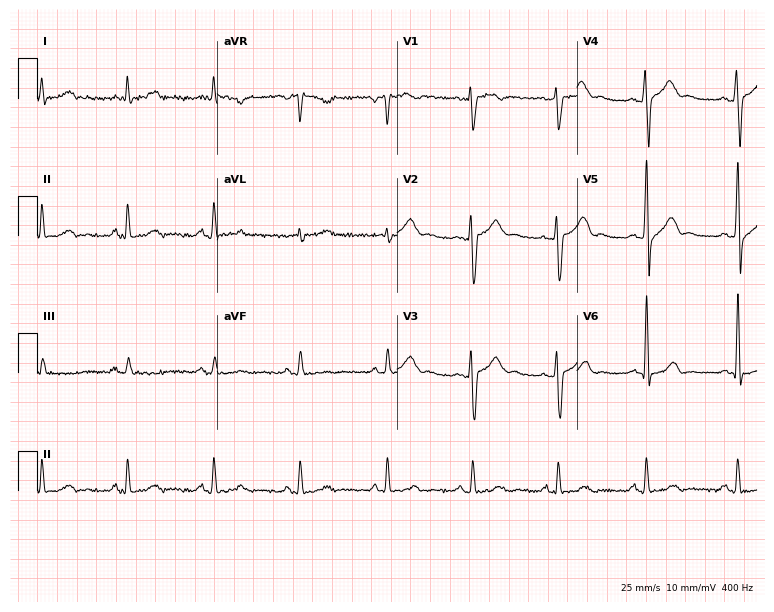
12-lead ECG from a 41-year-old male patient. Labelled as a normal ECG.